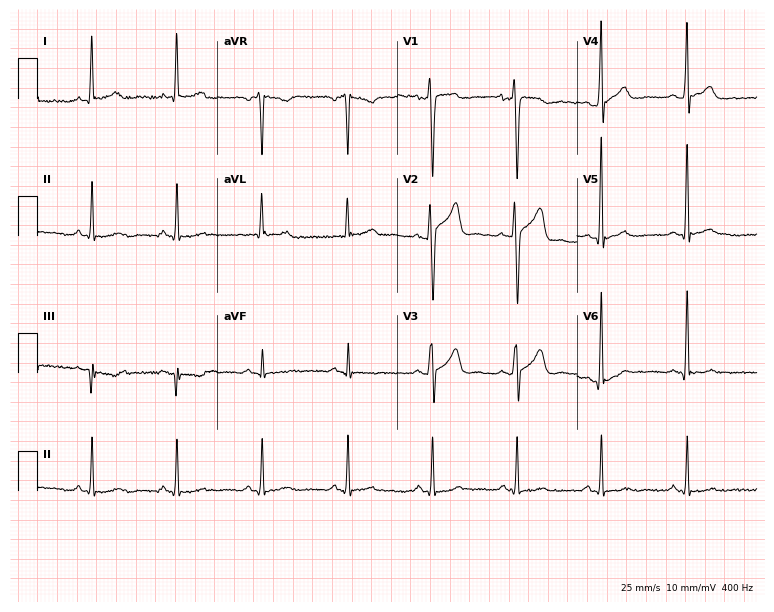
Electrocardiogram, a male patient, 38 years old. Of the six screened findings (first-degree AV block, right bundle branch block, left bundle branch block, sinus bradycardia, atrial fibrillation, sinus tachycardia), none is recorded. Other findings, if any, are not listed.